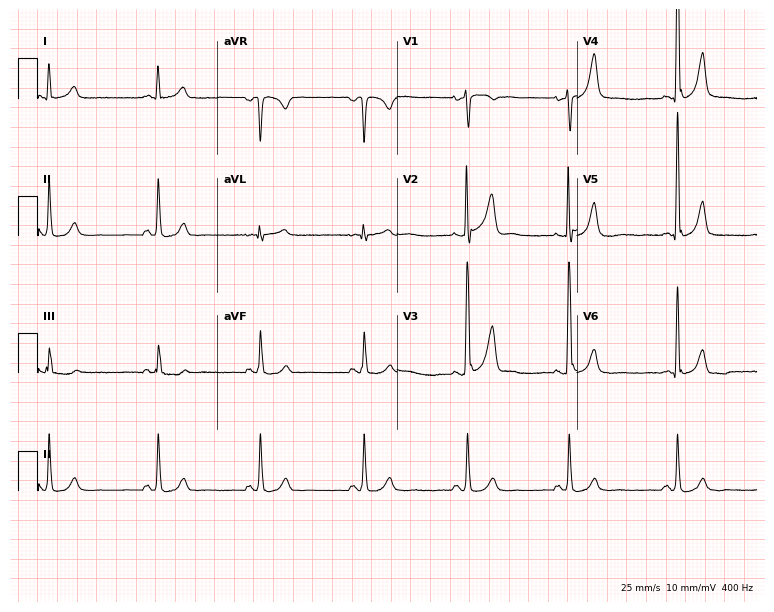
Standard 12-lead ECG recorded from a 53-year-old man. Read as a normal ECG.